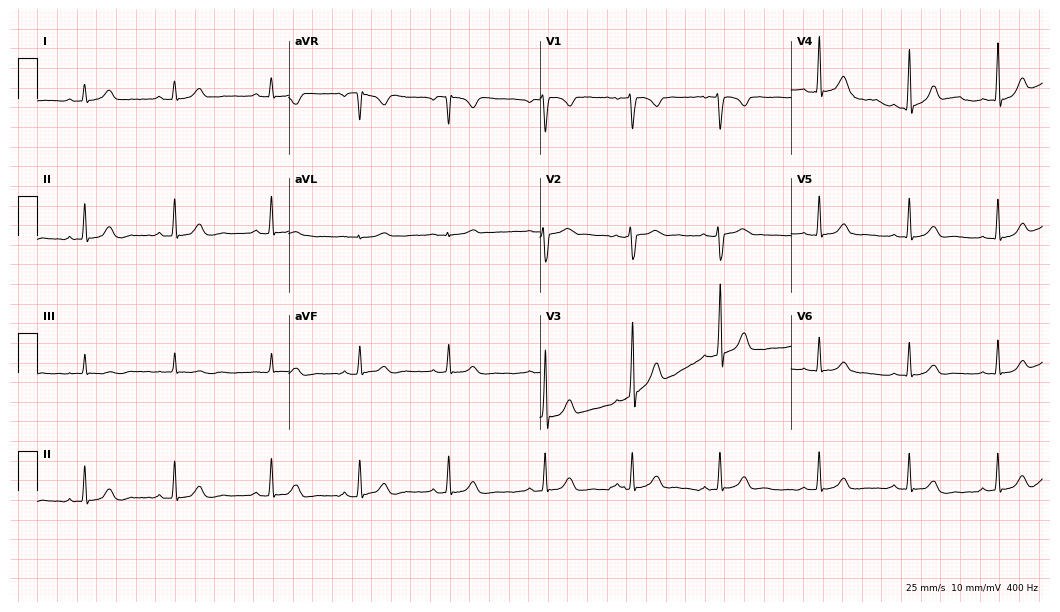
Resting 12-lead electrocardiogram (10.2-second recording at 400 Hz). Patient: a 27-year-old woman. Read as a normal ECG.